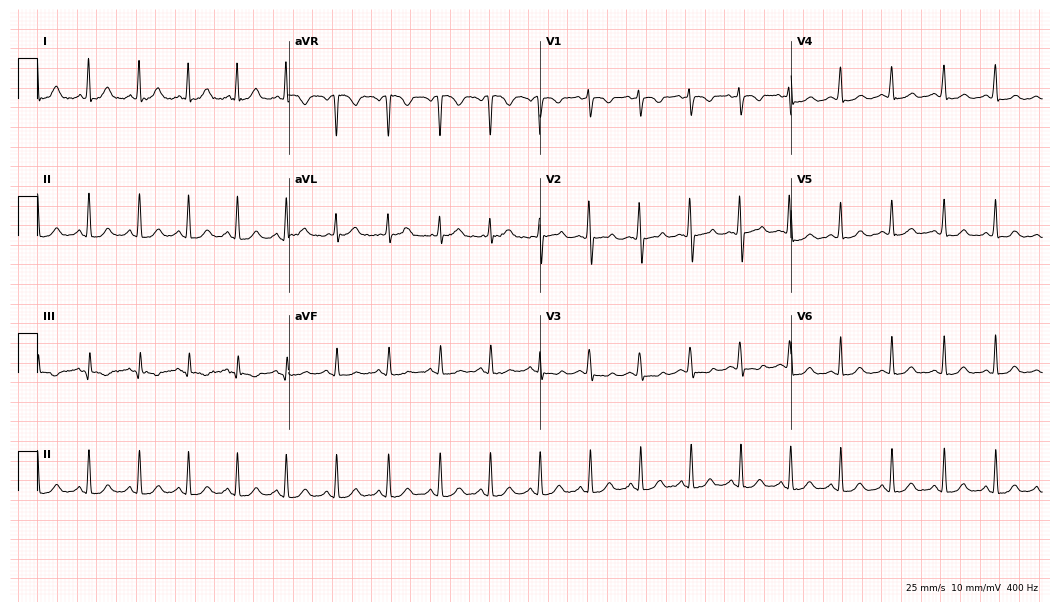
12-lead ECG (10.2-second recording at 400 Hz) from a 24-year-old female. Findings include sinus tachycardia (a sinus rate of 100 beats per minute or more).